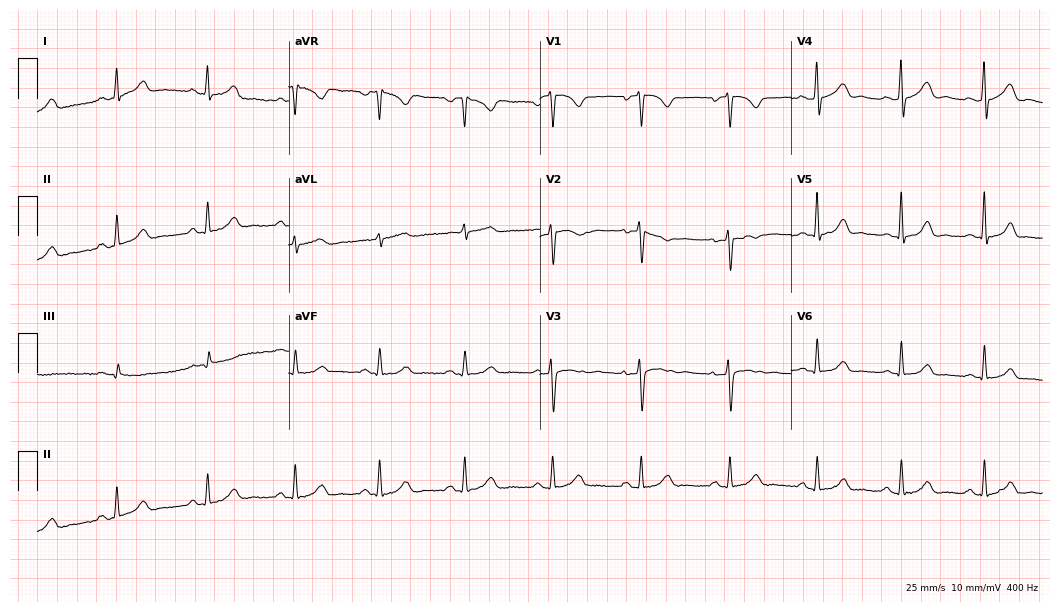
Electrocardiogram (10.2-second recording at 400 Hz), a 27-year-old female patient. Overall reading on record: normal ECG.